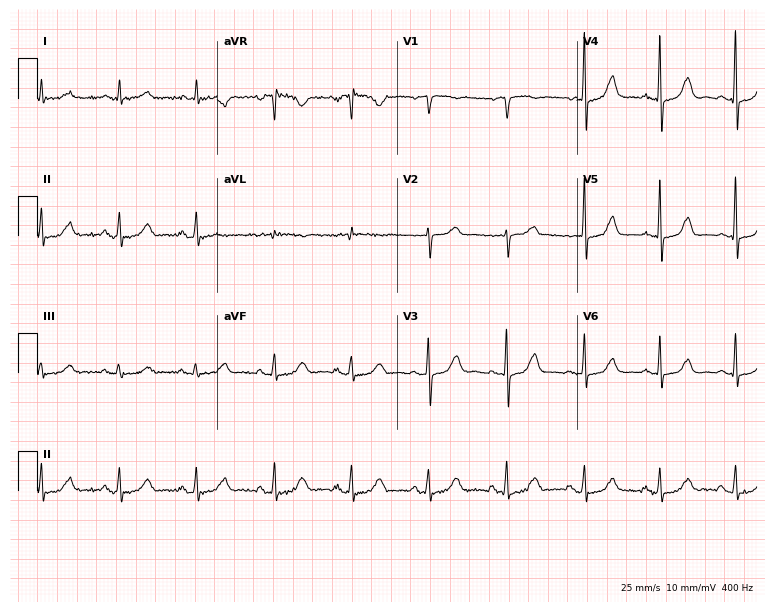
ECG (7.3-second recording at 400 Hz) — a female patient, 69 years old. Labelled as a normal ECG.